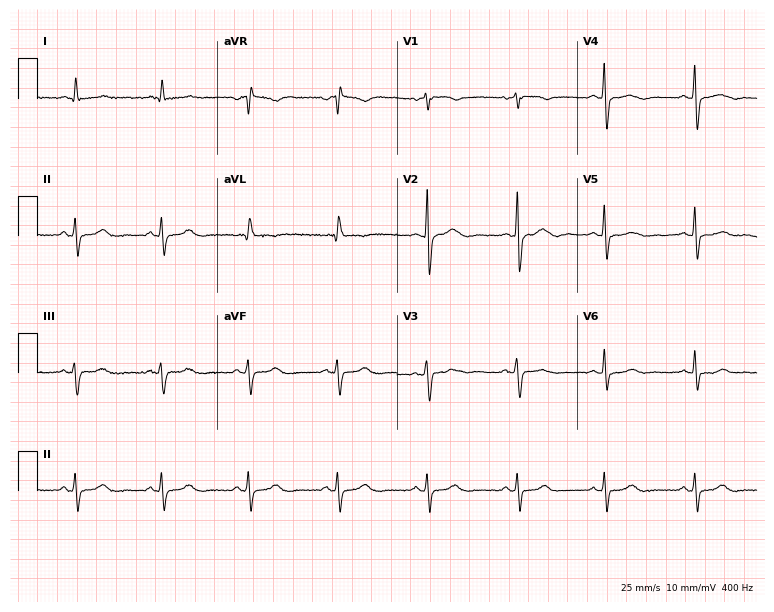
12-lead ECG from a 61-year-old woman (7.3-second recording at 400 Hz). No first-degree AV block, right bundle branch block, left bundle branch block, sinus bradycardia, atrial fibrillation or sinus tachycardia recorded for this tracing. Findings outside these six are not listed.